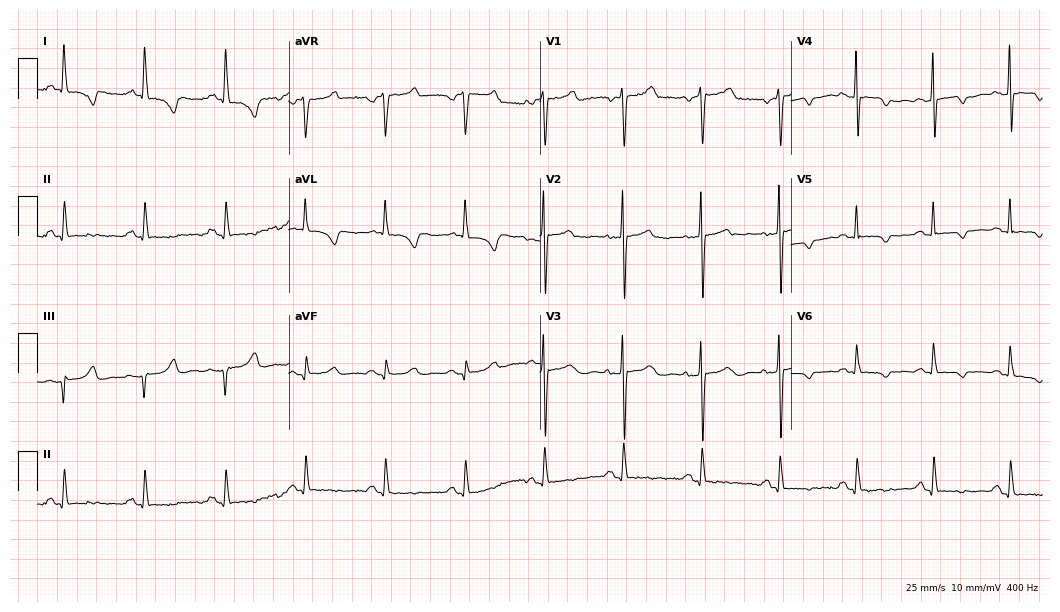
ECG (10.2-second recording at 400 Hz) — a woman, 77 years old. Screened for six findings — first-degree AV block, right bundle branch block (RBBB), left bundle branch block (LBBB), sinus bradycardia, atrial fibrillation (AF), sinus tachycardia — none is recorded.